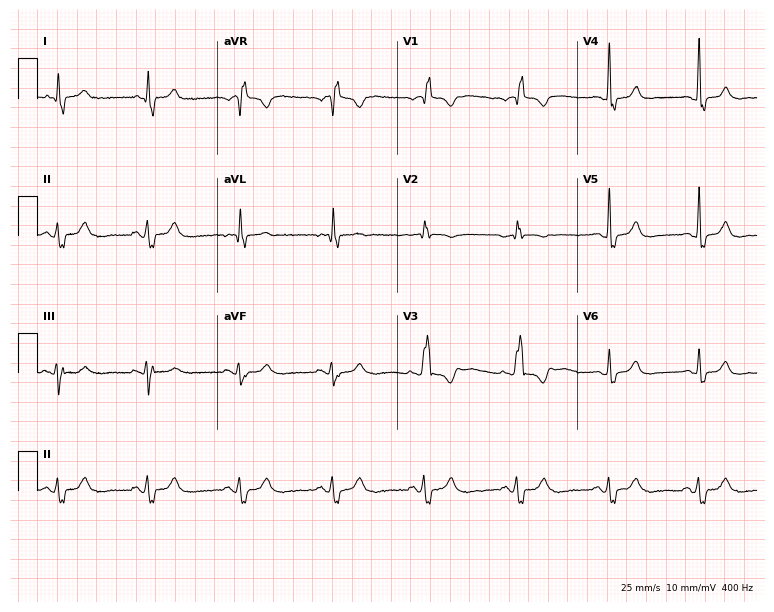
Standard 12-lead ECG recorded from a 79-year-old woman (7.3-second recording at 400 Hz). None of these six findings is recorded: first-degree AV block, right bundle branch block (RBBB), left bundle branch block (LBBB), sinus bradycardia, atrial fibrillation (AF), sinus tachycardia.